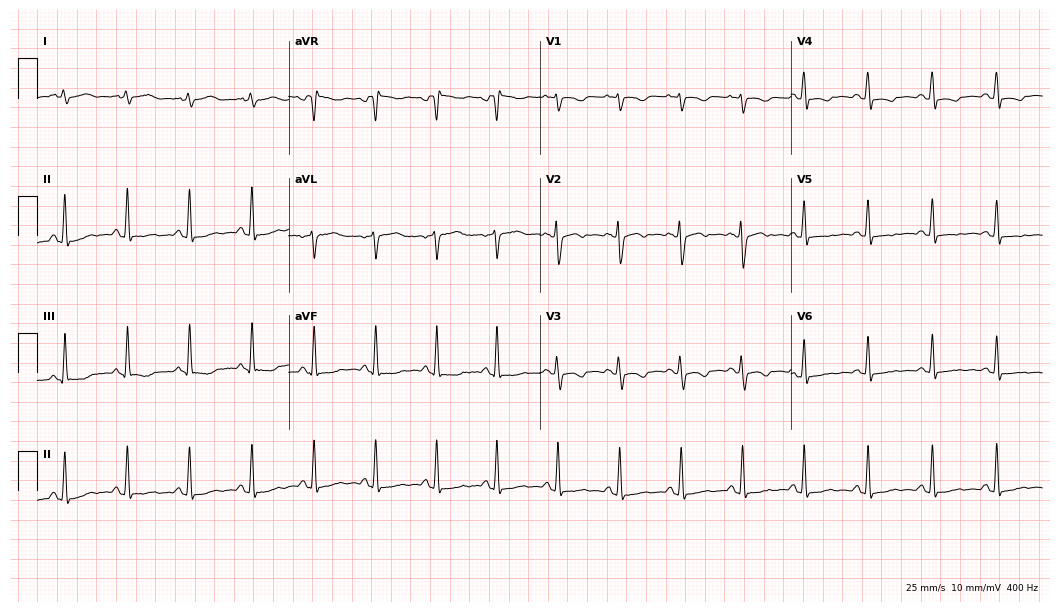
Resting 12-lead electrocardiogram (10.2-second recording at 400 Hz). Patient: a female, 20 years old. None of these six findings is recorded: first-degree AV block, right bundle branch block, left bundle branch block, sinus bradycardia, atrial fibrillation, sinus tachycardia. Other findings, if any, are not listed.